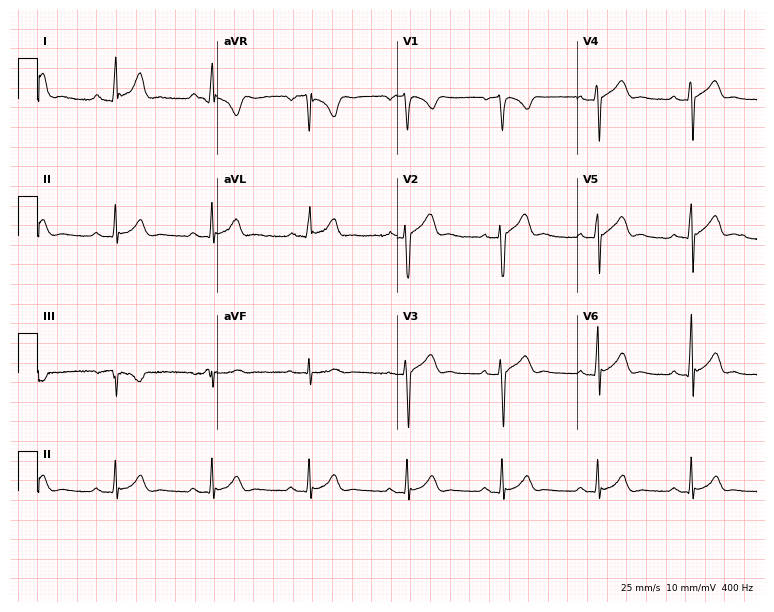
Resting 12-lead electrocardiogram (7.3-second recording at 400 Hz). Patient: a 41-year-old man. Read as a normal ECG.